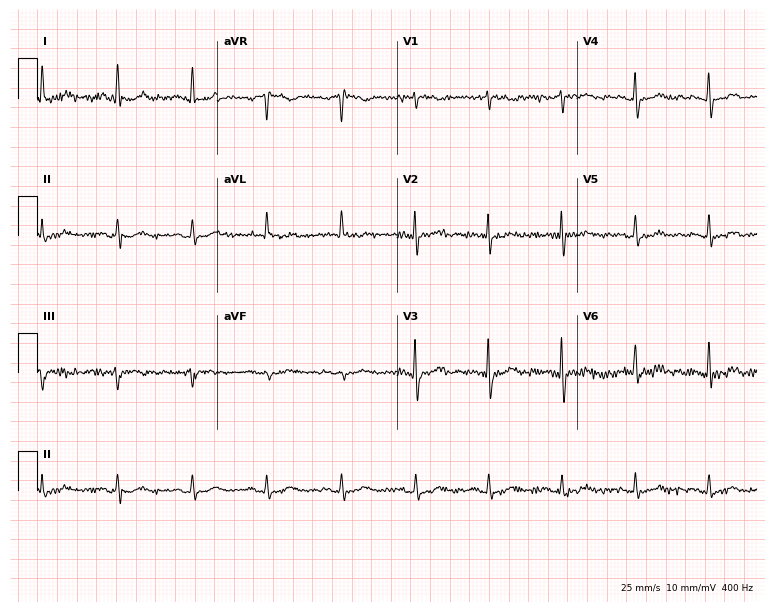
Standard 12-lead ECG recorded from a 62-year-old woman. None of these six findings is recorded: first-degree AV block, right bundle branch block (RBBB), left bundle branch block (LBBB), sinus bradycardia, atrial fibrillation (AF), sinus tachycardia.